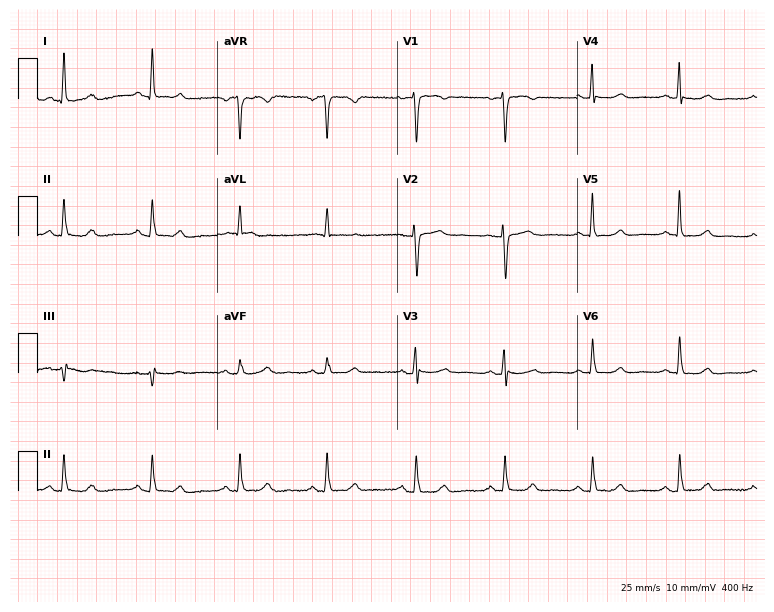
Standard 12-lead ECG recorded from a female, 66 years old. Read as a normal ECG.